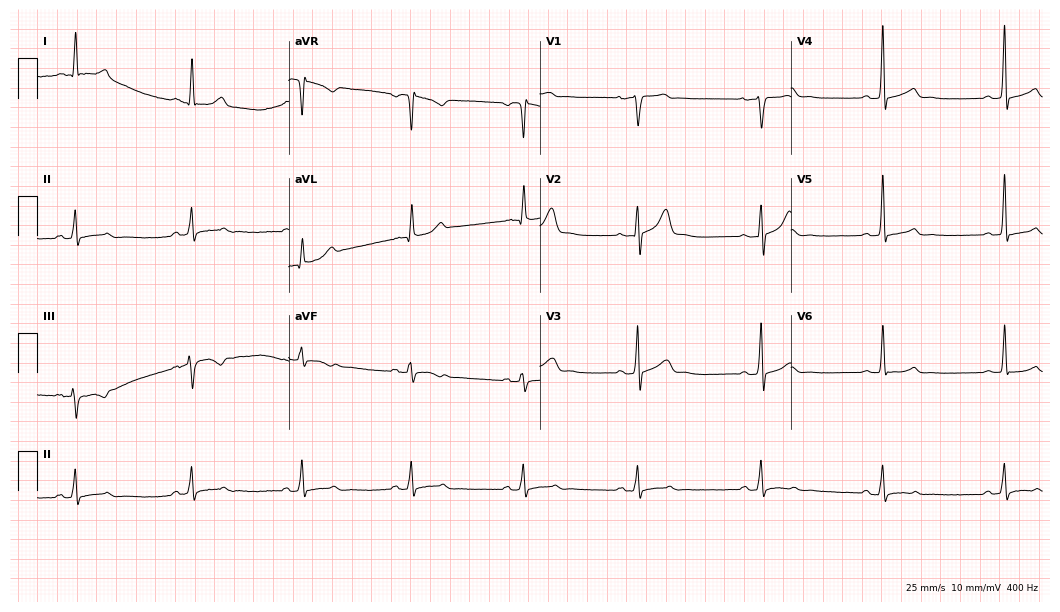
Electrocardiogram, a male patient, 61 years old. Of the six screened findings (first-degree AV block, right bundle branch block, left bundle branch block, sinus bradycardia, atrial fibrillation, sinus tachycardia), none is recorded. Only these six findings were labelled.